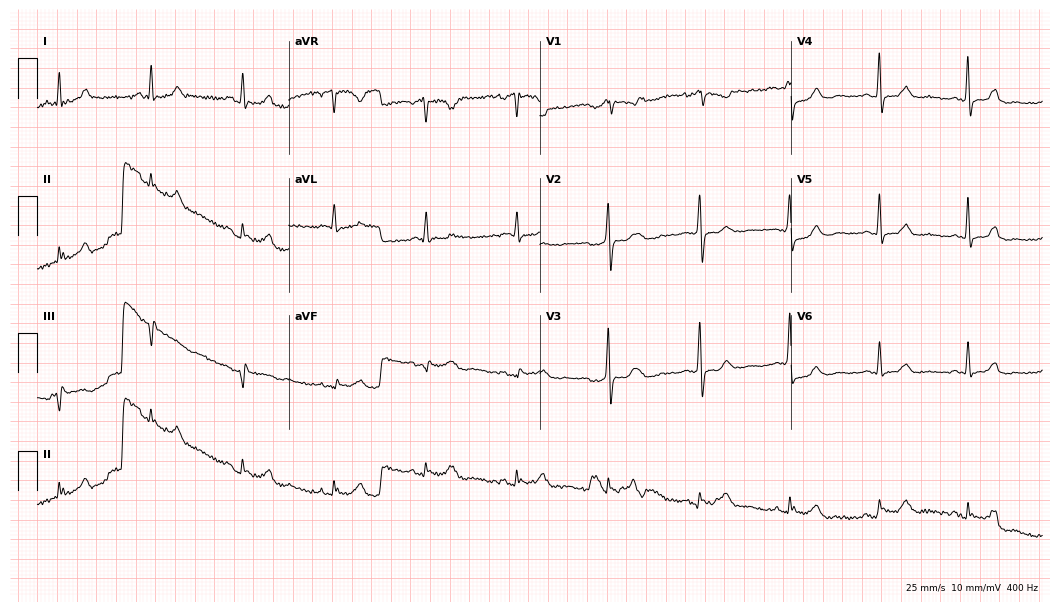
ECG (10.2-second recording at 400 Hz) — a woman, 75 years old. Screened for six findings — first-degree AV block, right bundle branch block, left bundle branch block, sinus bradycardia, atrial fibrillation, sinus tachycardia — none is recorded.